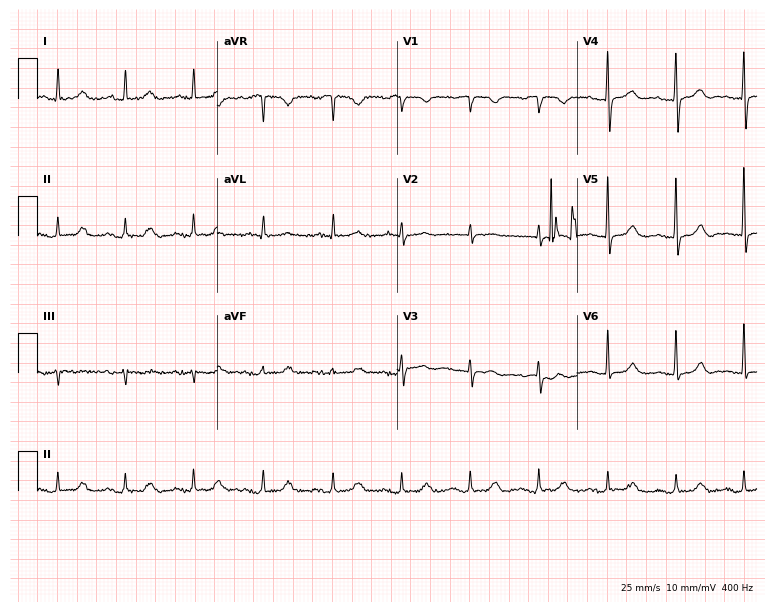
Resting 12-lead electrocardiogram (7.3-second recording at 400 Hz). Patient: a 71-year-old woman. Read as a normal ECG.